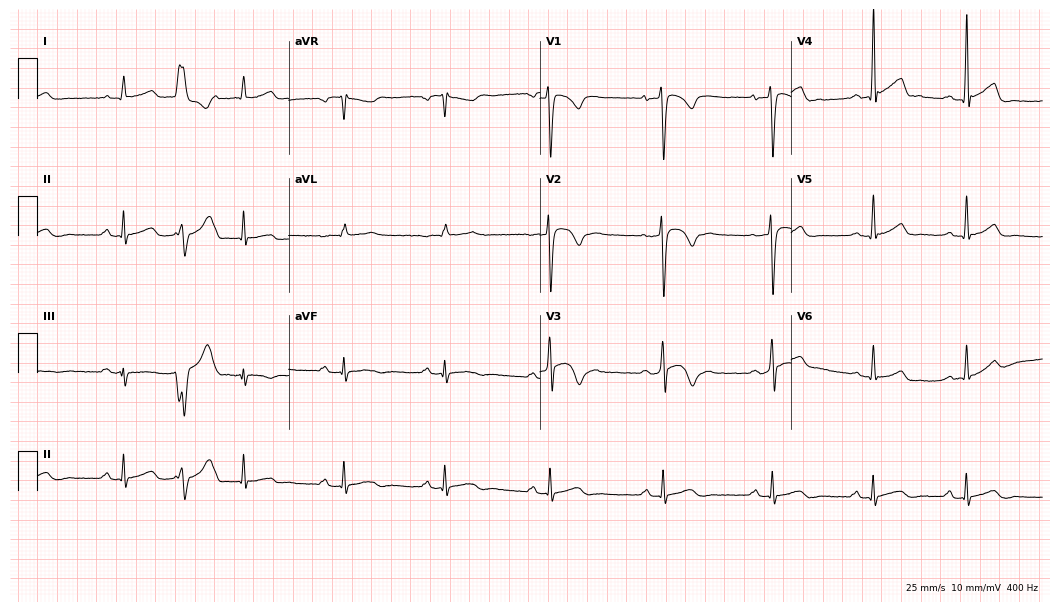
12-lead ECG from a 24-year-old male patient (10.2-second recording at 400 Hz). No first-degree AV block, right bundle branch block (RBBB), left bundle branch block (LBBB), sinus bradycardia, atrial fibrillation (AF) or sinus tachycardia recorded for this tracing.